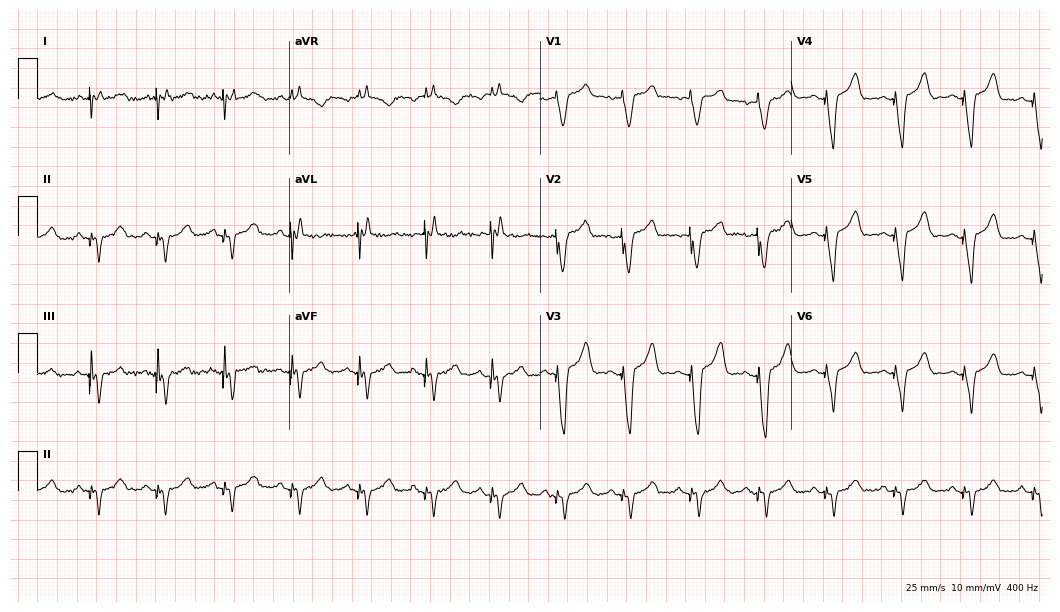
Resting 12-lead electrocardiogram (10.2-second recording at 400 Hz). Patient: an 84-year-old woman. None of these six findings is recorded: first-degree AV block, right bundle branch block, left bundle branch block, sinus bradycardia, atrial fibrillation, sinus tachycardia.